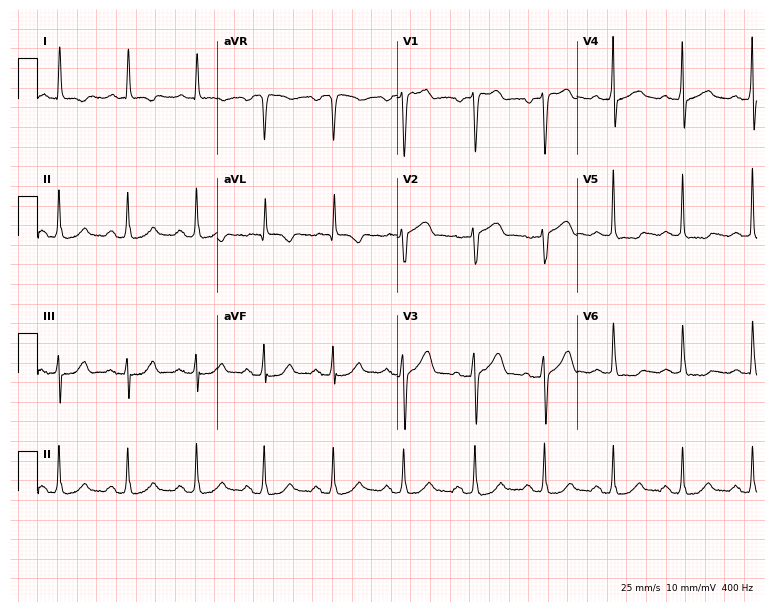
Resting 12-lead electrocardiogram. Patient: a 72-year-old male. None of these six findings is recorded: first-degree AV block, right bundle branch block, left bundle branch block, sinus bradycardia, atrial fibrillation, sinus tachycardia. Other findings, if any, are not listed.